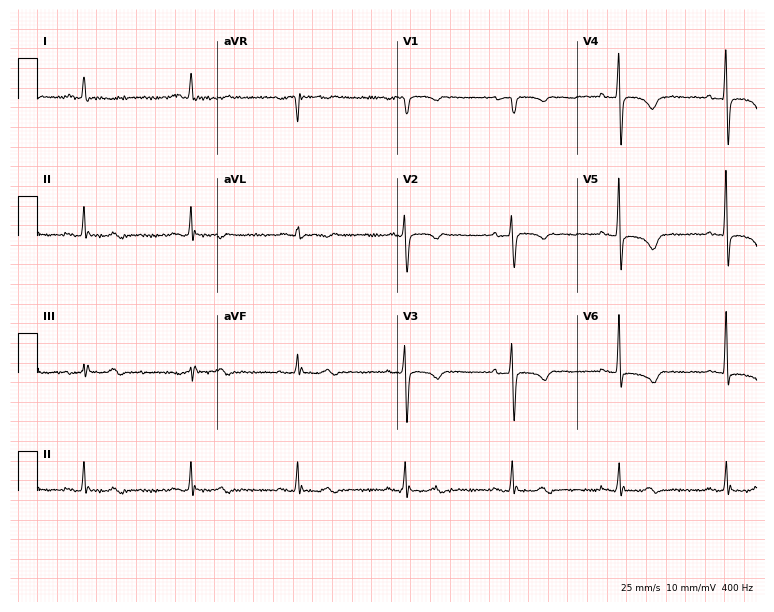
12-lead ECG from a 66-year-old female patient. Screened for six findings — first-degree AV block, right bundle branch block, left bundle branch block, sinus bradycardia, atrial fibrillation, sinus tachycardia — none is recorded.